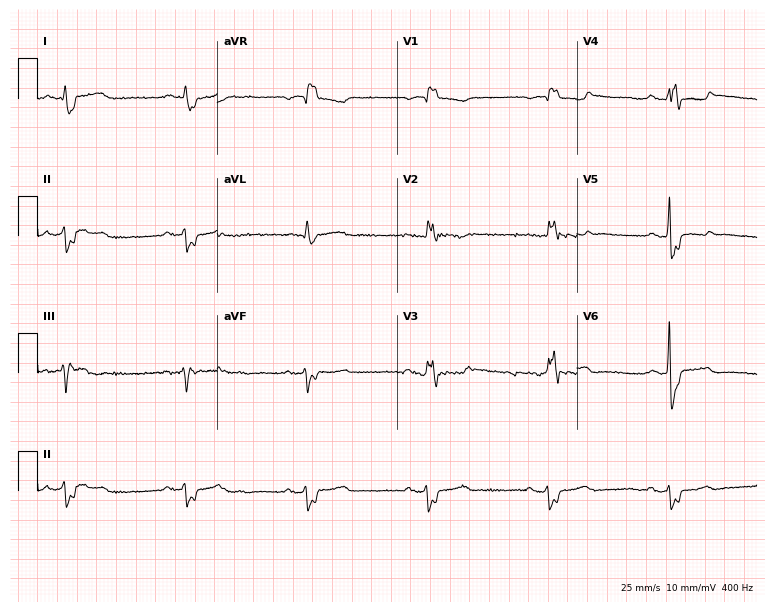
Electrocardiogram, a 78-year-old woman. Interpretation includes right bundle branch block (RBBB), sinus bradycardia (a sinus rate of 50 beats per minute or less).